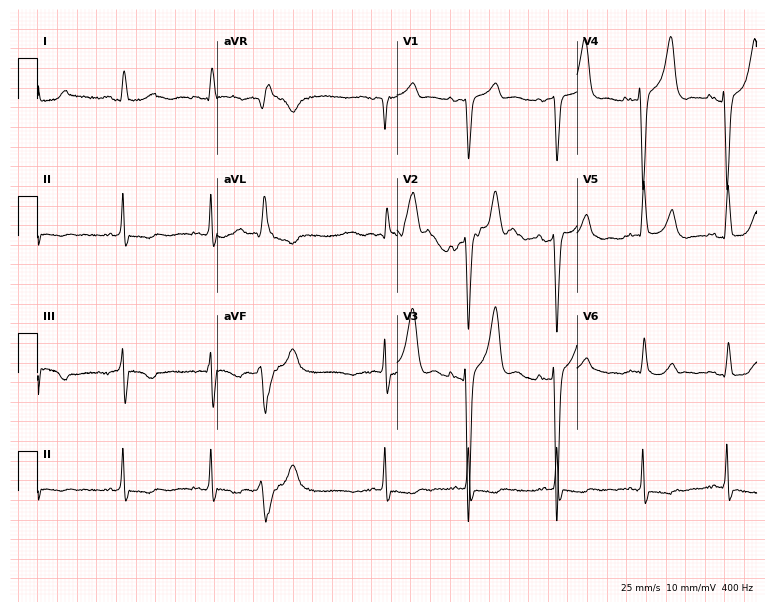
12-lead ECG from a male, 75 years old. Screened for six findings — first-degree AV block, right bundle branch block, left bundle branch block, sinus bradycardia, atrial fibrillation, sinus tachycardia — none is recorded. Other findings, if any, are not listed.